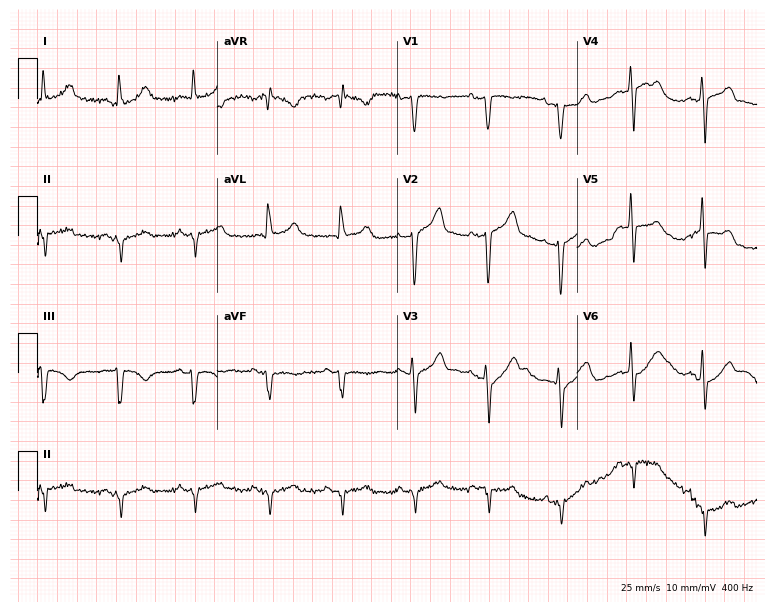
Standard 12-lead ECG recorded from a 37-year-old male patient. None of these six findings is recorded: first-degree AV block, right bundle branch block (RBBB), left bundle branch block (LBBB), sinus bradycardia, atrial fibrillation (AF), sinus tachycardia.